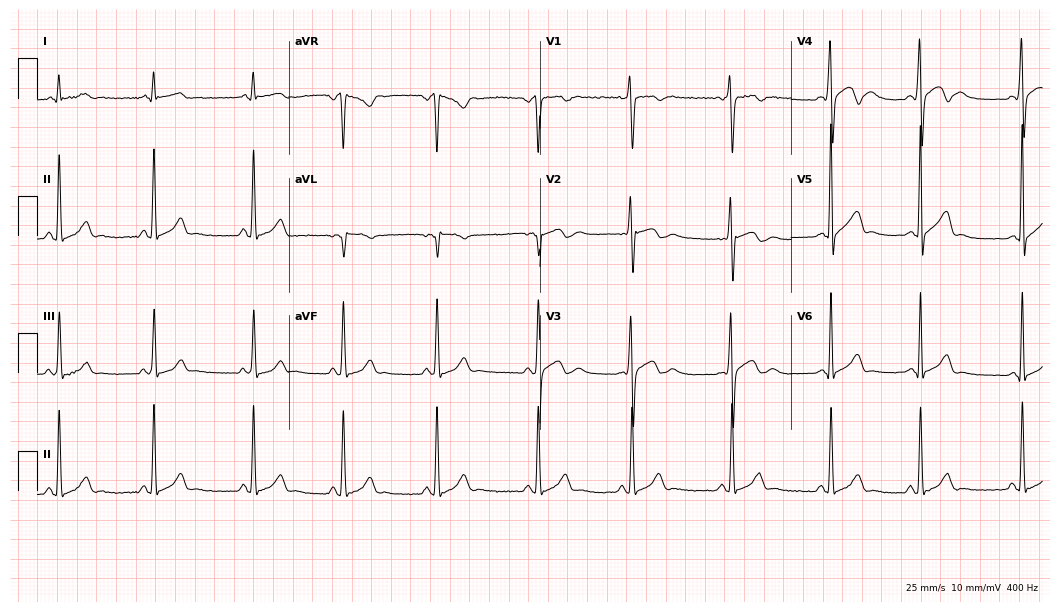
12-lead ECG from a man, 17 years old (10.2-second recording at 400 Hz). Recorded interpretation: within normal limits.